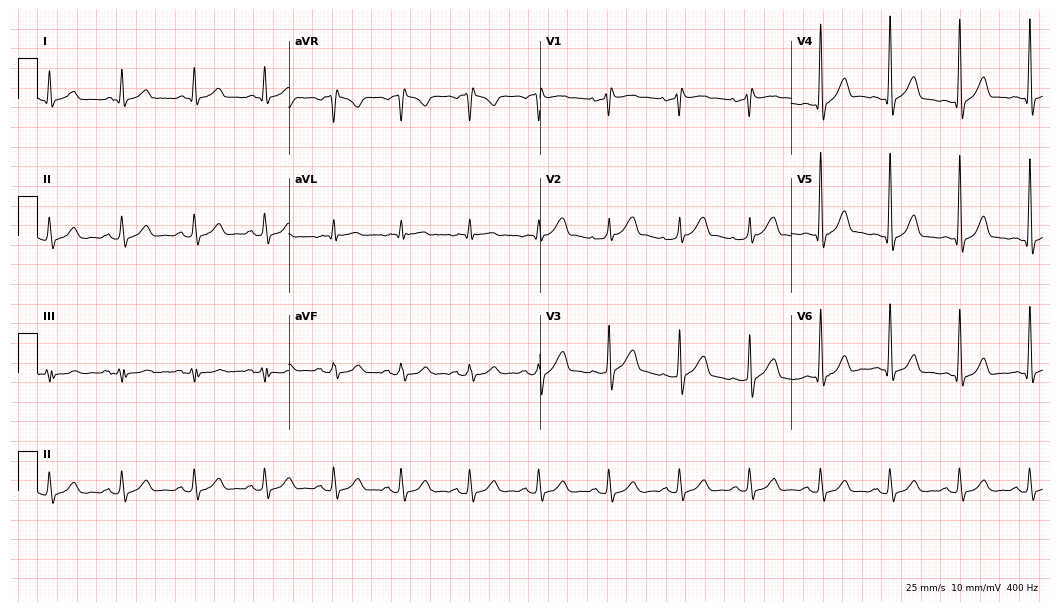
12-lead ECG from a 57-year-old man (10.2-second recording at 400 Hz). No first-degree AV block, right bundle branch block, left bundle branch block, sinus bradycardia, atrial fibrillation or sinus tachycardia recorded for this tracing.